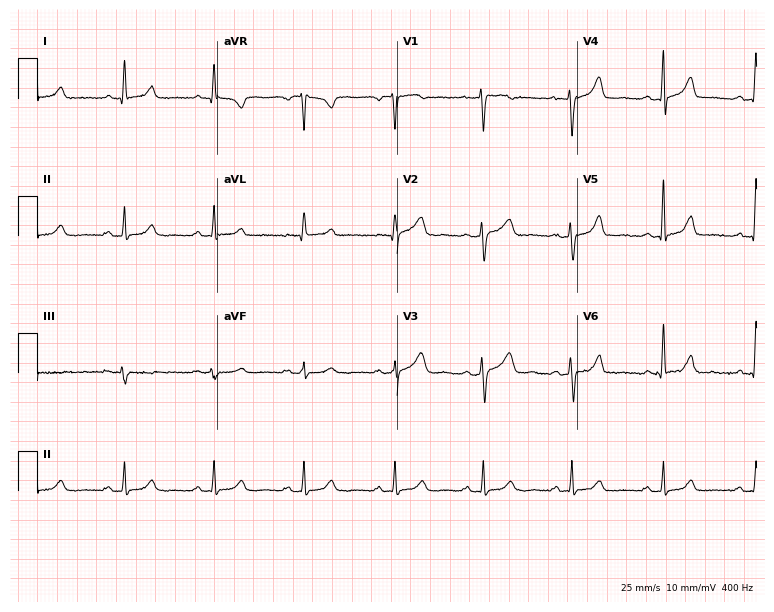
12-lead ECG (7.3-second recording at 400 Hz) from a female patient, 41 years old. Screened for six findings — first-degree AV block, right bundle branch block, left bundle branch block, sinus bradycardia, atrial fibrillation, sinus tachycardia — none is recorded.